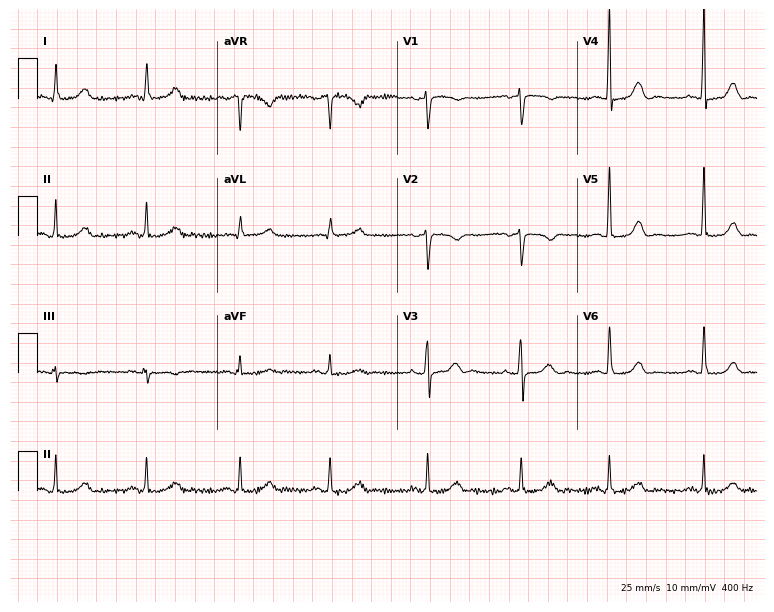
12-lead ECG (7.3-second recording at 400 Hz) from a 54-year-old female patient. Labelled as a normal ECG.